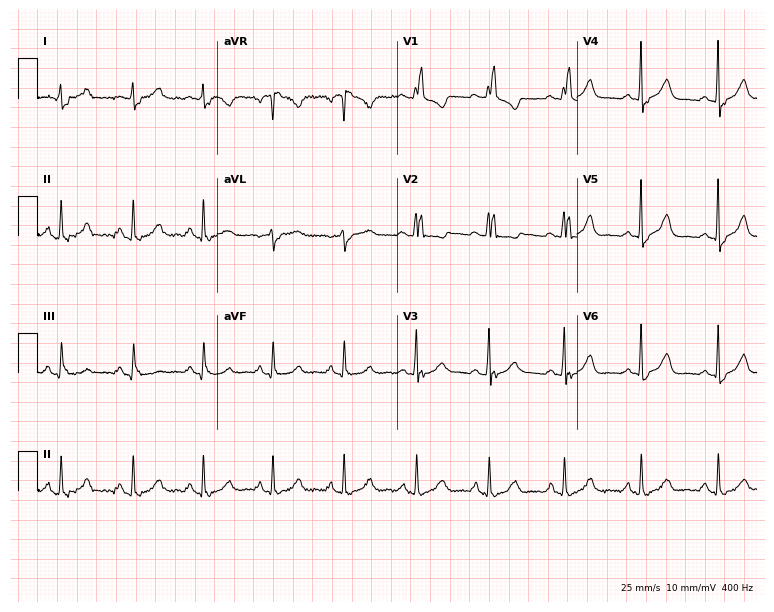
12-lead ECG (7.3-second recording at 400 Hz) from a female patient, 45 years old. Screened for six findings — first-degree AV block, right bundle branch block, left bundle branch block, sinus bradycardia, atrial fibrillation, sinus tachycardia — none is recorded. Findings outside these six are not listed.